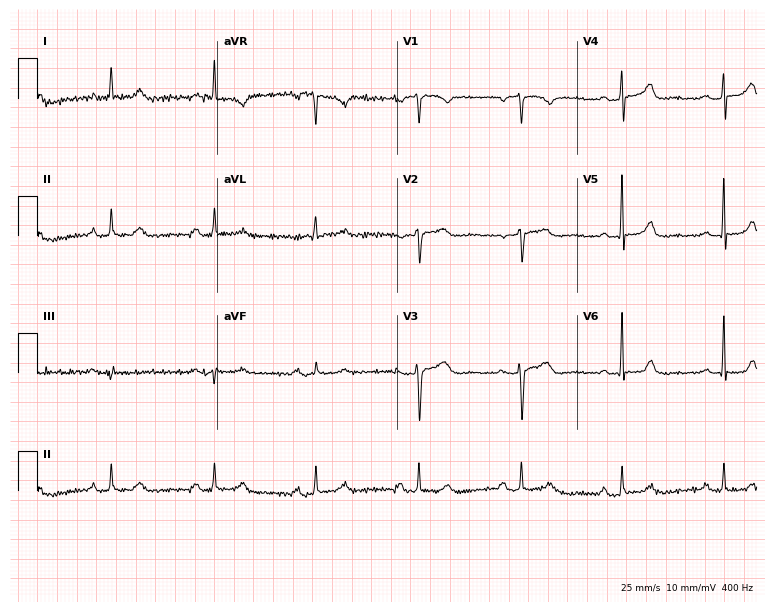
Resting 12-lead electrocardiogram (7.3-second recording at 400 Hz). Patient: a female, 57 years old. None of these six findings is recorded: first-degree AV block, right bundle branch block, left bundle branch block, sinus bradycardia, atrial fibrillation, sinus tachycardia. Findings outside these six are not listed.